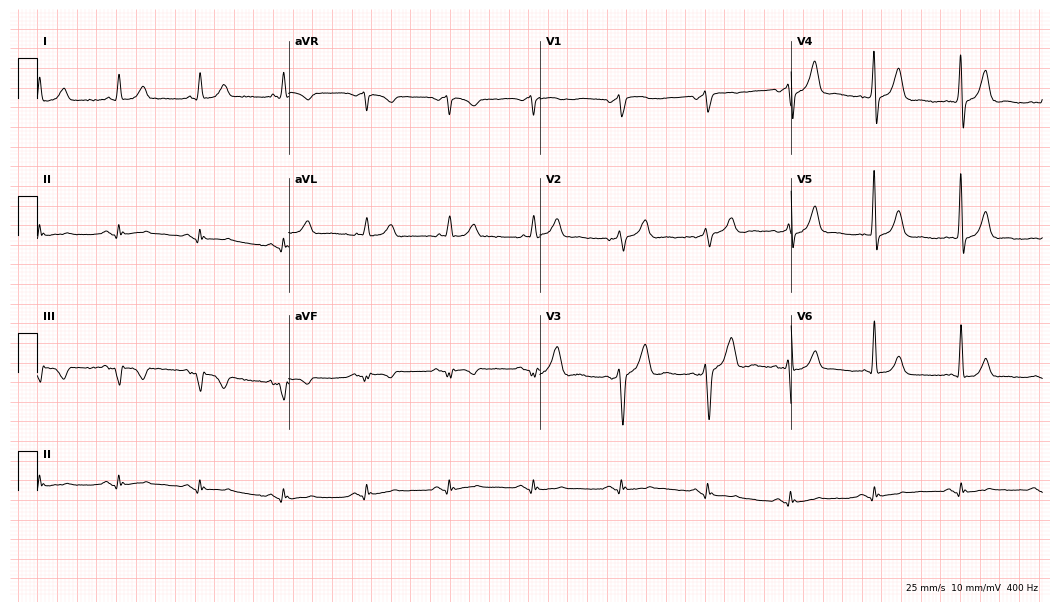
12-lead ECG from a 59-year-old man (10.2-second recording at 400 Hz). No first-degree AV block, right bundle branch block, left bundle branch block, sinus bradycardia, atrial fibrillation or sinus tachycardia recorded for this tracing.